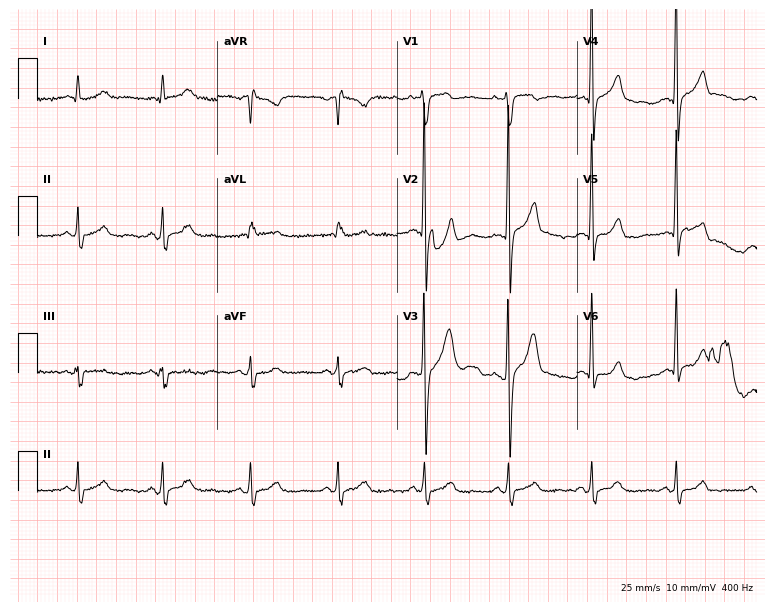
ECG (7.3-second recording at 400 Hz) — a 64-year-old male. Screened for six findings — first-degree AV block, right bundle branch block (RBBB), left bundle branch block (LBBB), sinus bradycardia, atrial fibrillation (AF), sinus tachycardia — none is recorded.